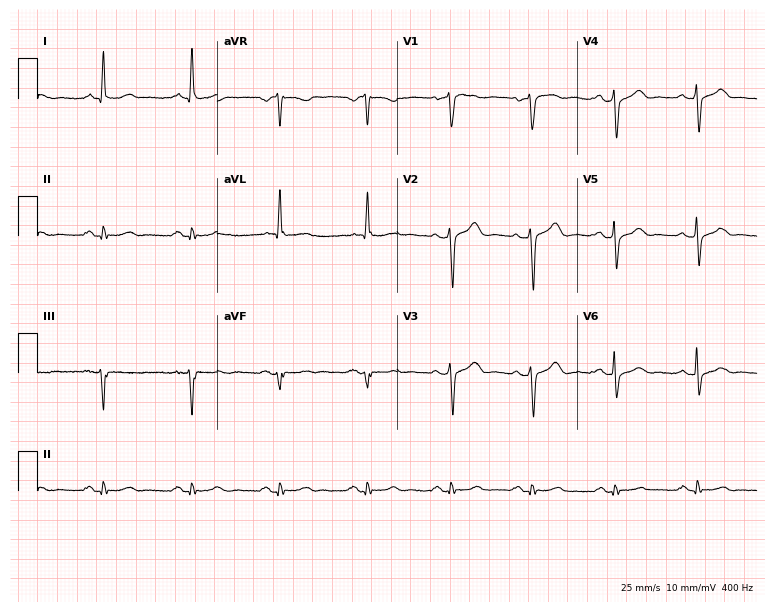
Standard 12-lead ECG recorded from a male patient, 57 years old (7.3-second recording at 400 Hz). None of these six findings is recorded: first-degree AV block, right bundle branch block, left bundle branch block, sinus bradycardia, atrial fibrillation, sinus tachycardia.